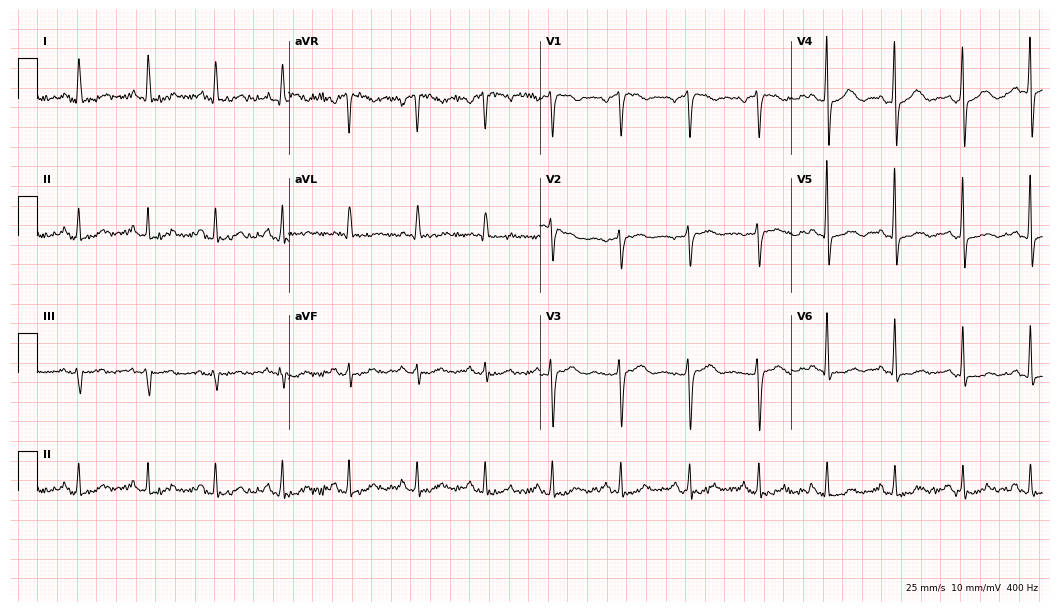
Resting 12-lead electrocardiogram (10.2-second recording at 400 Hz). Patient: a 52-year-old female. None of these six findings is recorded: first-degree AV block, right bundle branch block, left bundle branch block, sinus bradycardia, atrial fibrillation, sinus tachycardia. Findings outside these six are not listed.